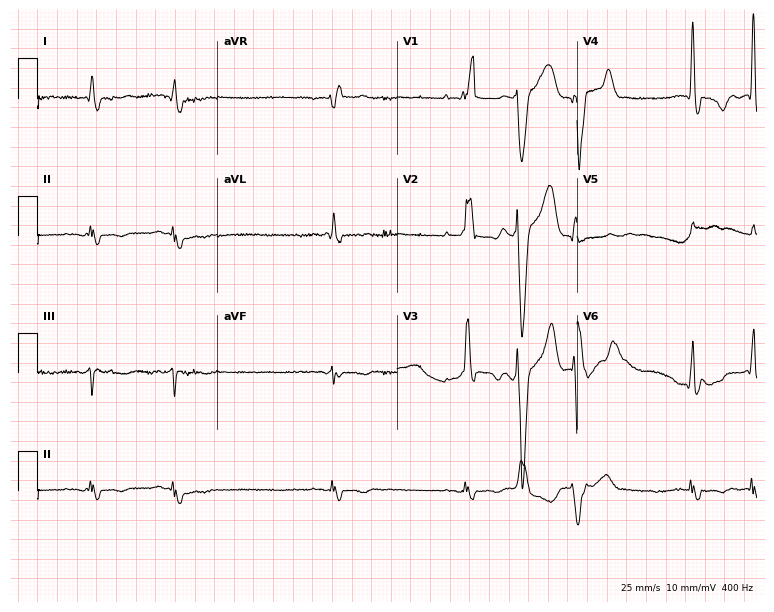
Electrocardiogram, a male patient, 85 years old. Of the six screened findings (first-degree AV block, right bundle branch block, left bundle branch block, sinus bradycardia, atrial fibrillation, sinus tachycardia), none is recorded.